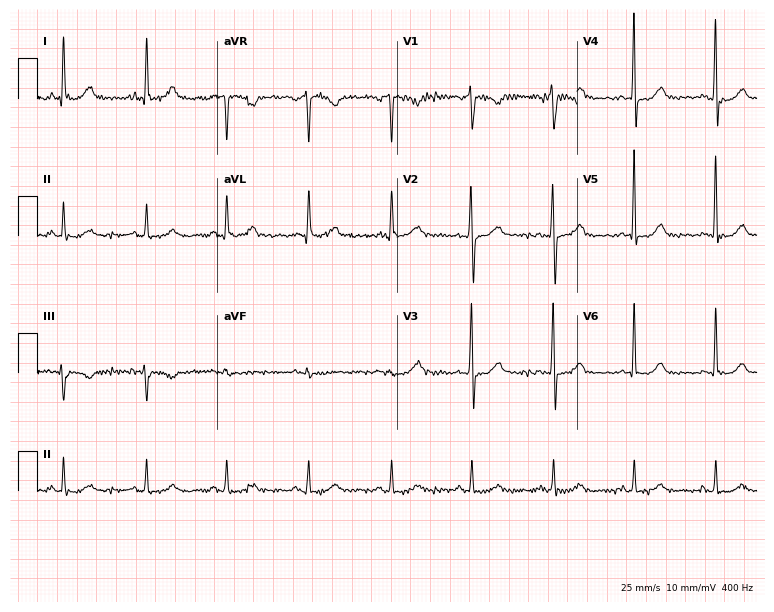
12-lead ECG (7.3-second recording at 400 Hz) from a 65-year-old female patient. Screened for six findings — first-degree AV block, right bundle branch block (RBBB), left bundle branch block (LBBB), sinus bradycardia, atrial fibrillation (AF), sinus tachycardia — none is recorded. Findings outside these six are not listed.